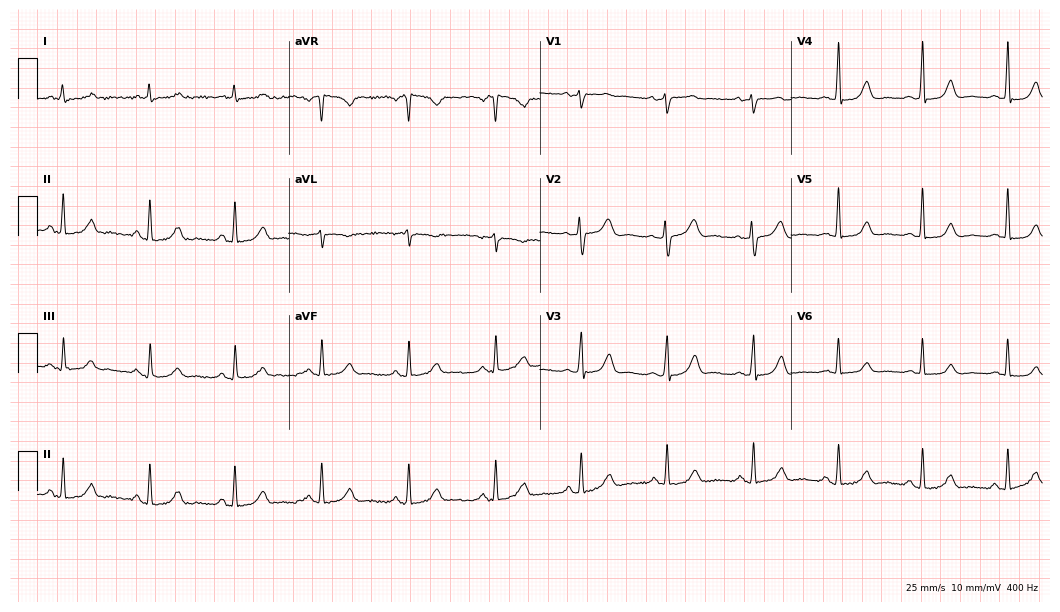
Resting 12-lead electrocardiogram (10.2-second recording at 400 Hz). Patient: a 51-year-old female. None of these six findings is recorded: first-degree AV block, right bundle branch block (RBBB), left bundle branch block (LBBB), sinus bradycardia, atrial fibrillation (AF), sinus tachycardia. Only these six findings were labelled.